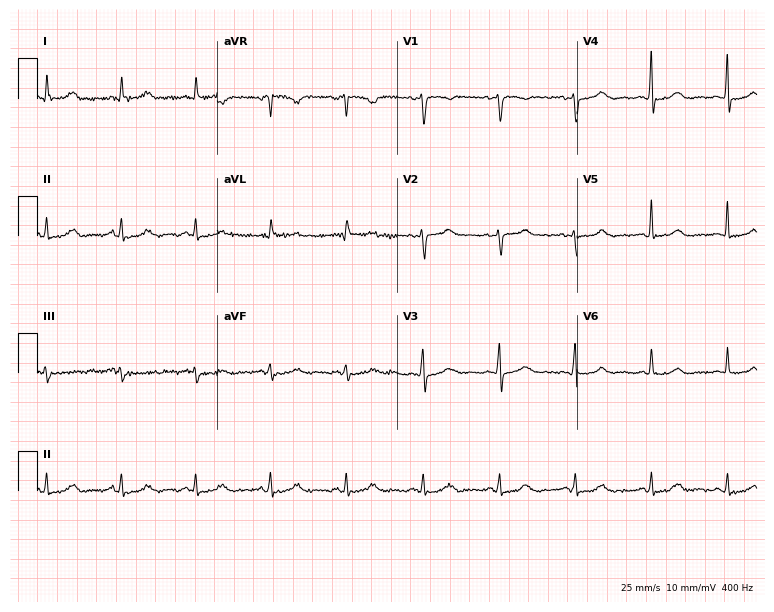
ECG — a female patient, 40 years old. Labelled as a normal ECG.